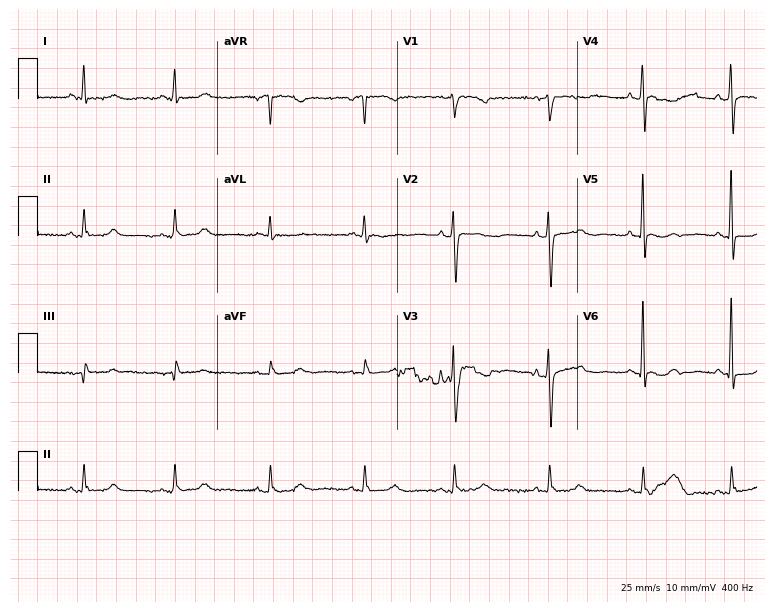
12-lead ECG from a female, 72 years old. No first-degree AV block, right bundle branch block (RBBB), left bundle branch block (LBBB), sinus bradycardia, atrial fibrillation (AF) or sinus tachycardia recorded for this tracing.